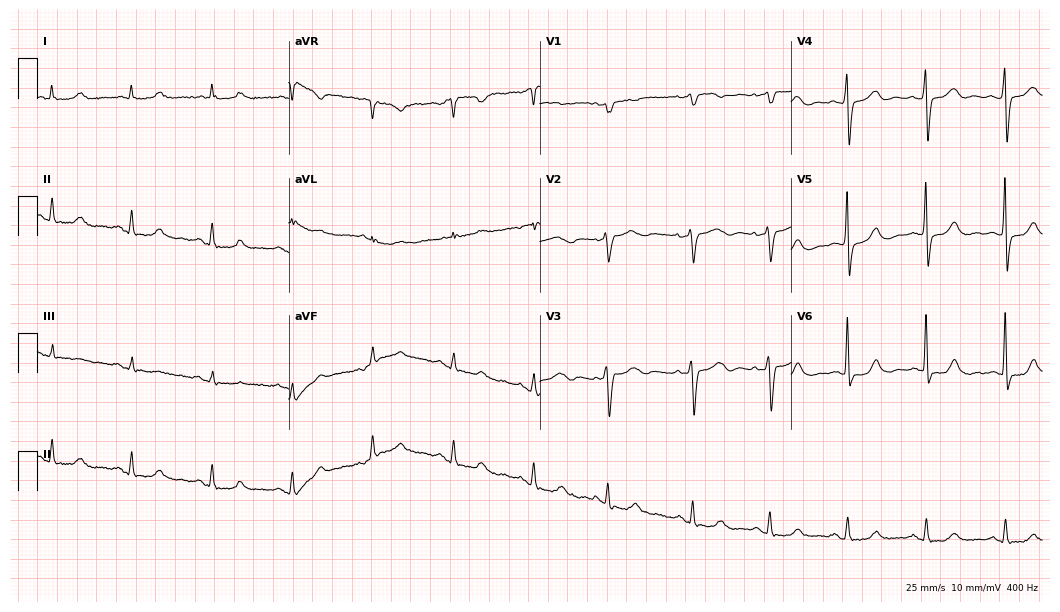
Resting 12-lead electrocardiogram (10.2-second recording at 400 Hz). Patient: a man, 81 years old. None of these six findings is recorded: first-degree AV block, right bundle branch block, left bundle branch block, sinus bradycardia, atrial fibrillation, sinus tachycardia.